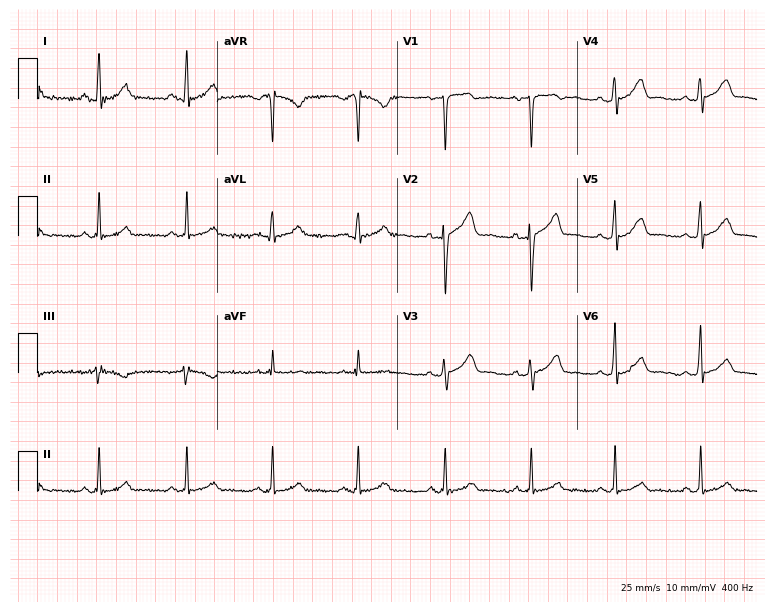
12-lead ECG (7.3-second recording at 400 Hz) from a male, 32 years old. Screened for six findings — first-degree AV block, right bundle branch block, left bundle branch block, sinus bradycardia, atrial fibrillation, sinus tachycardia — none is recorded. Only these six findings were labelled.